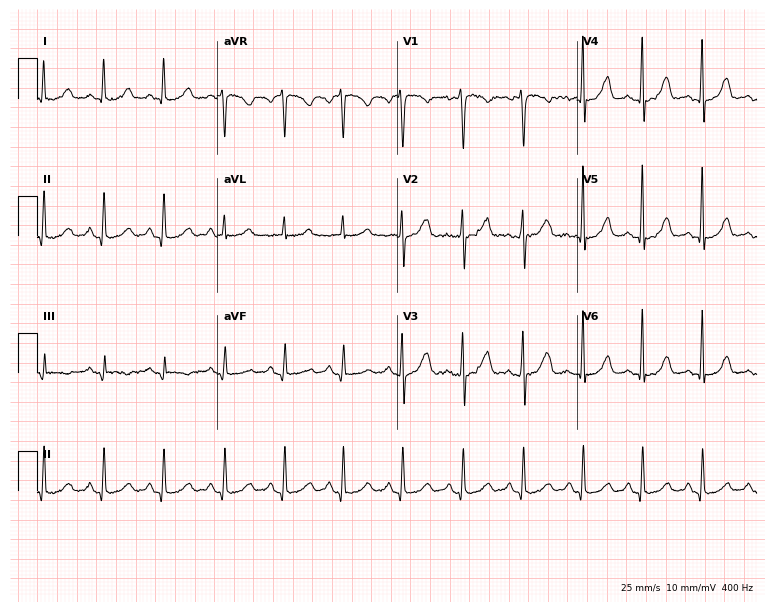
12-lead ECG from a female patient, 39 years old. No first-degree AV block, right bundle branch block, left bundle branch block, sinus bradycardia, atrial fibrillation or sinus tachycardia recorded for this tracing. Other findings, if any, are not listed.